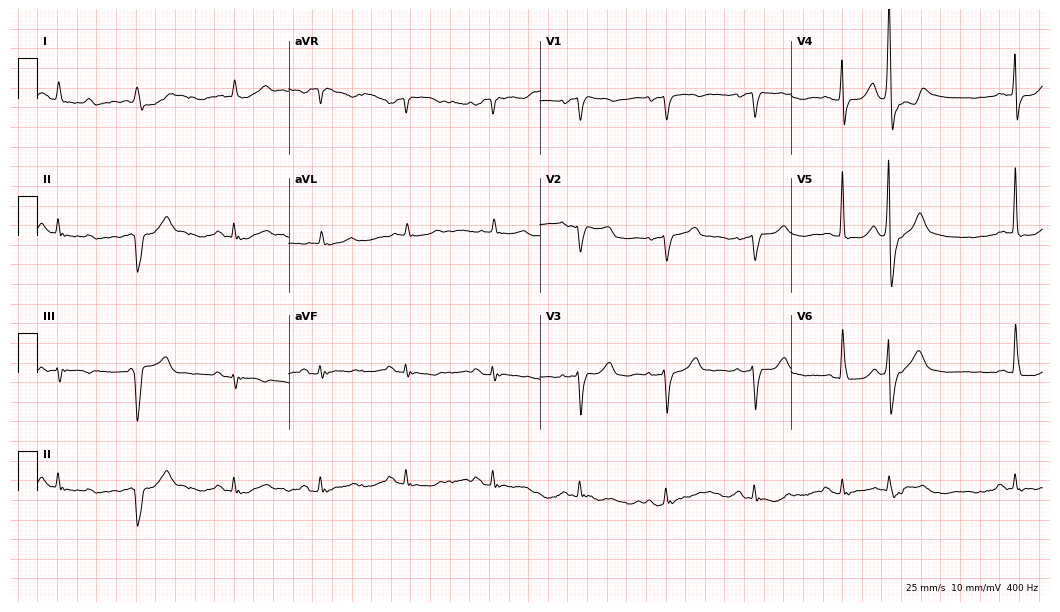
Resting 12-lead electrocardiogram. Patient: a female, 81 years old. None of these six findings is recorded: first-degree AV block, right bundle branch block, left bundle branch block, sinus bradycardia, atrial fibrillation, sinus tachycardia.